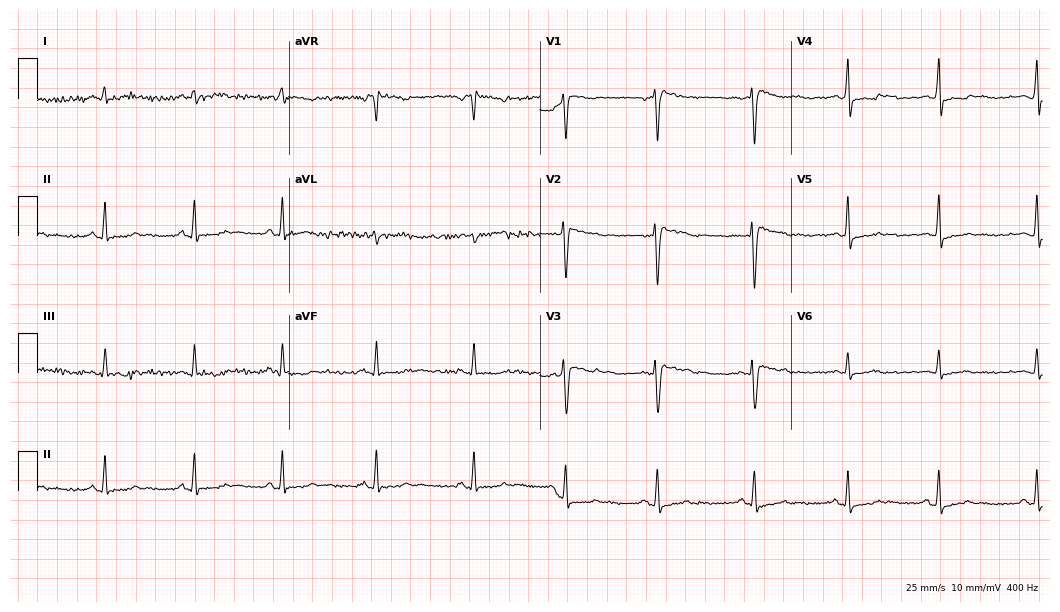
Standard 12-lead ECG recorded from a woman, 38 years old (10.2-second recording at 400 Hz). None of these six findings is recorded: first-degree AV block, right bundle branch block, left bundle branch block, sinus bradycardia, atrial fibrillation, sinus tachycardia. Findings outside these six are not listed.